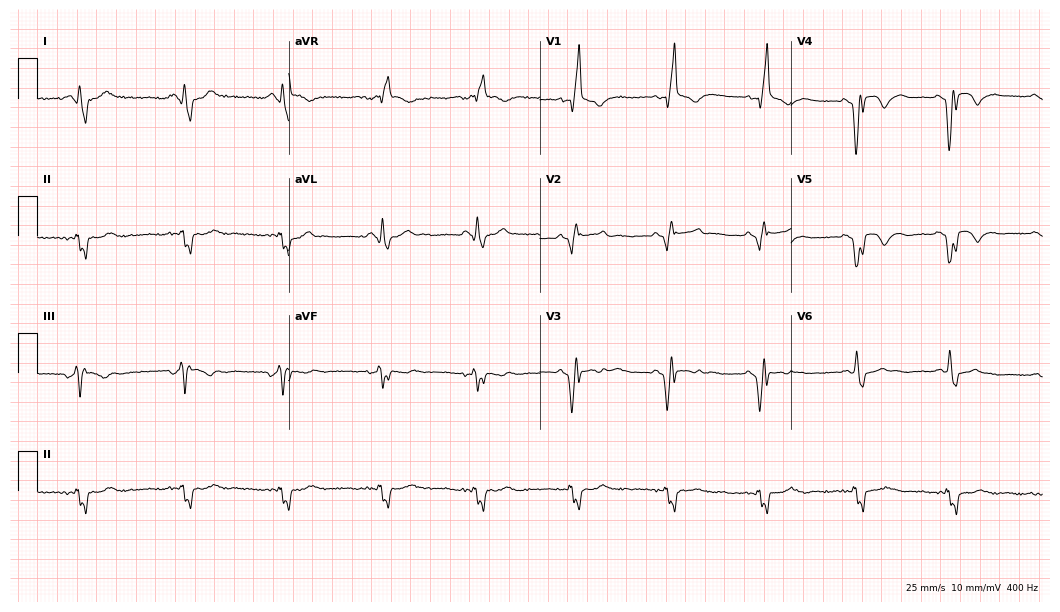
12-lead ECG (10.2-second recording at 400 Hz) from a man, 36 years old. Screened for six findings — first-degree AV block, right bundle branch block (RBBB), left bundle branch block (LBBB), sinus bradycardia, atrial fibrillation (AF), sinus tachycardia — none is recorded.